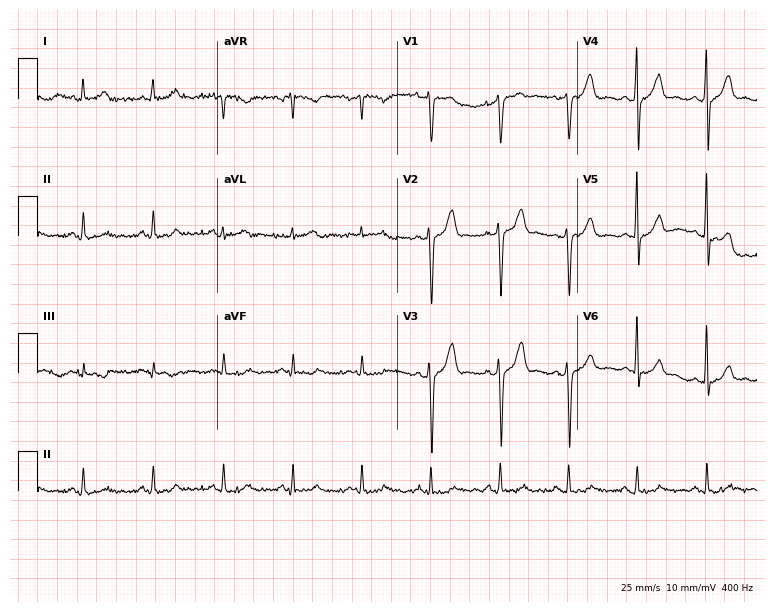
Resting 12-lead electrocardiogram (7.3-second recording at 400 Hz). Patient: a male, 51 years old. None of these six findings is recorded: first-degree AV block, right bundle branch block (RBBB), left bundle branch block (LBBB), sinus bradycardia, atrial fibrillation (AF), sinus tachycardia.